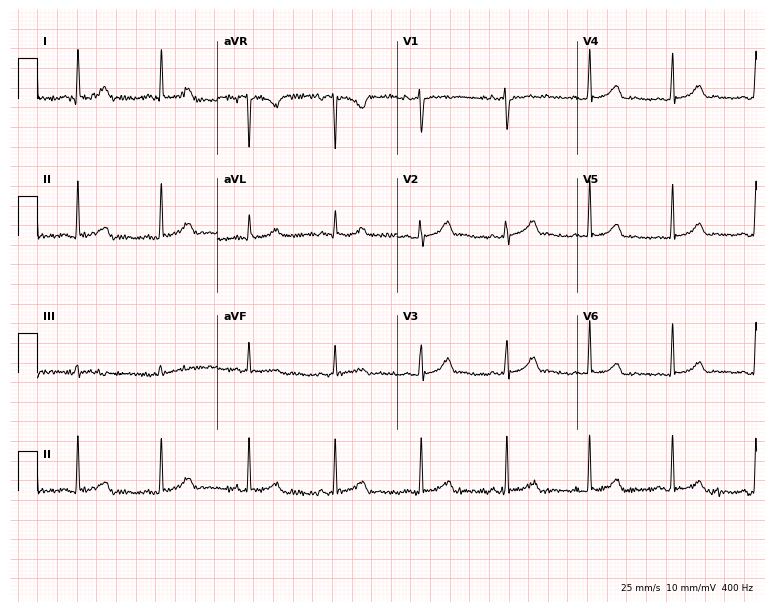
Electrocardiogram (7.3-second recording at 400 Hz), a female, 34 years old. Overall reading on record: normal ECG.